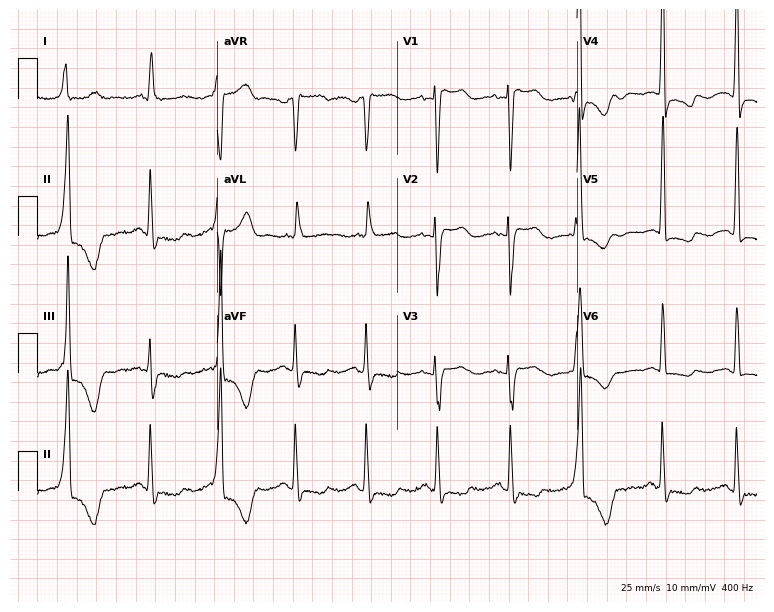
12-lead ECG from a woman, 77 years old. Screened for six findings — first-degree AV block, right bundle branch block, left bundle branch block, sinus bradycardia, atrial fibrillation, sinus tachycardia — none is recorded. Other findings, if any, are not listed.